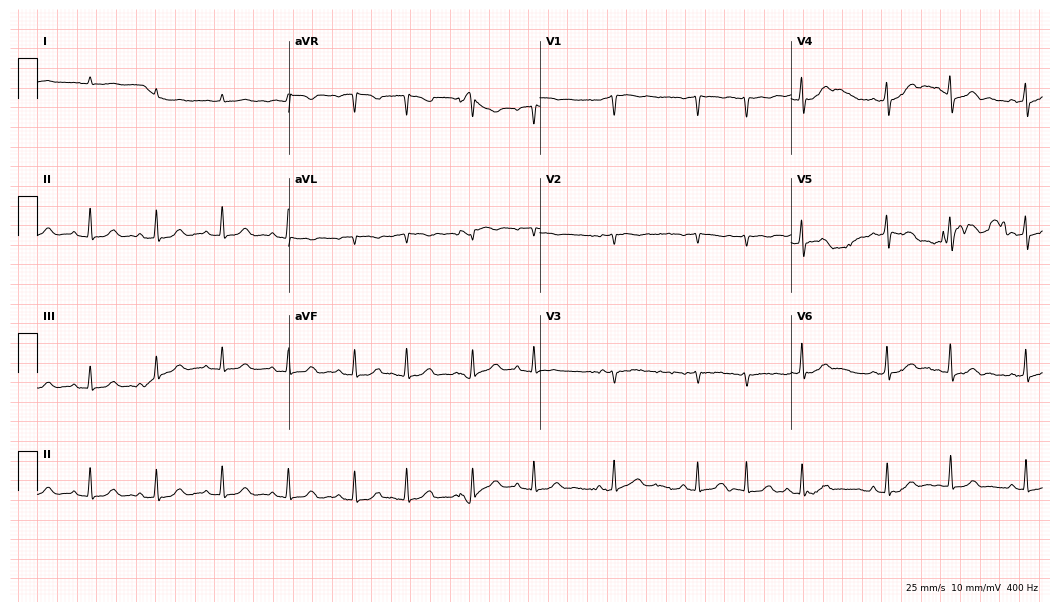
12-lead ECG from a woman, 83 years old (10.2-second recording at 400 Hz). No first-degree AV block, right bundle branch block (RBBB), left bundle branch block (LBBB), sinus bradycardia, atrial fibrillation (AF) or sinus tachycardia recorded for this tracing. Findings outside these six are not listed.